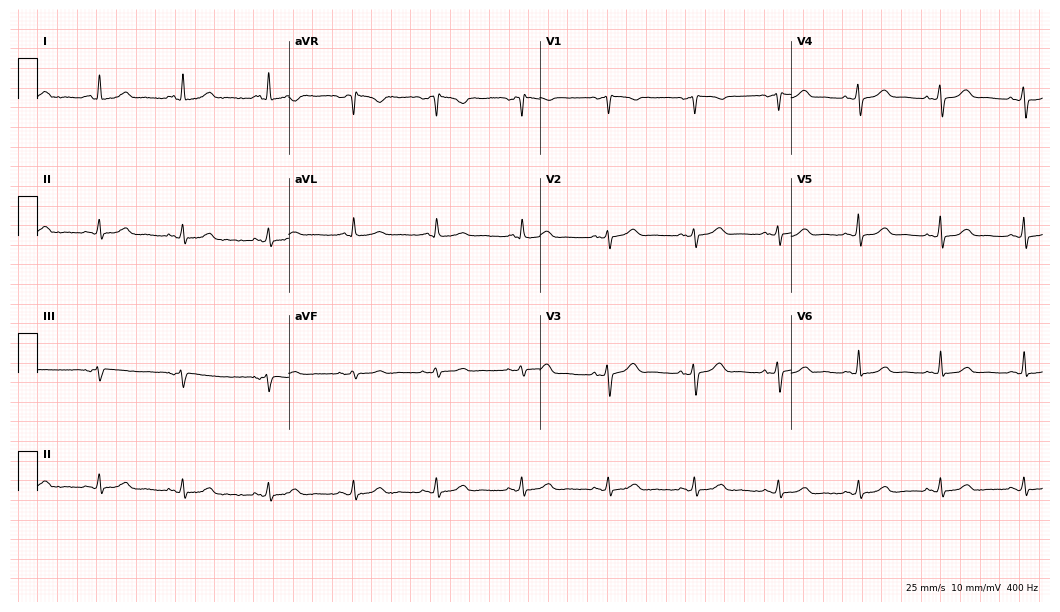
ECG (10.2-second recording at 400 Hz) — a 51-year-old female patient. Screened for six findings — first-degree AV block, right bundle branch block (RBBB), left bundle branch block (LBBB), sinus bradycardia, atrial fibrillation (AF), sinus tachycardia — none is recorded.